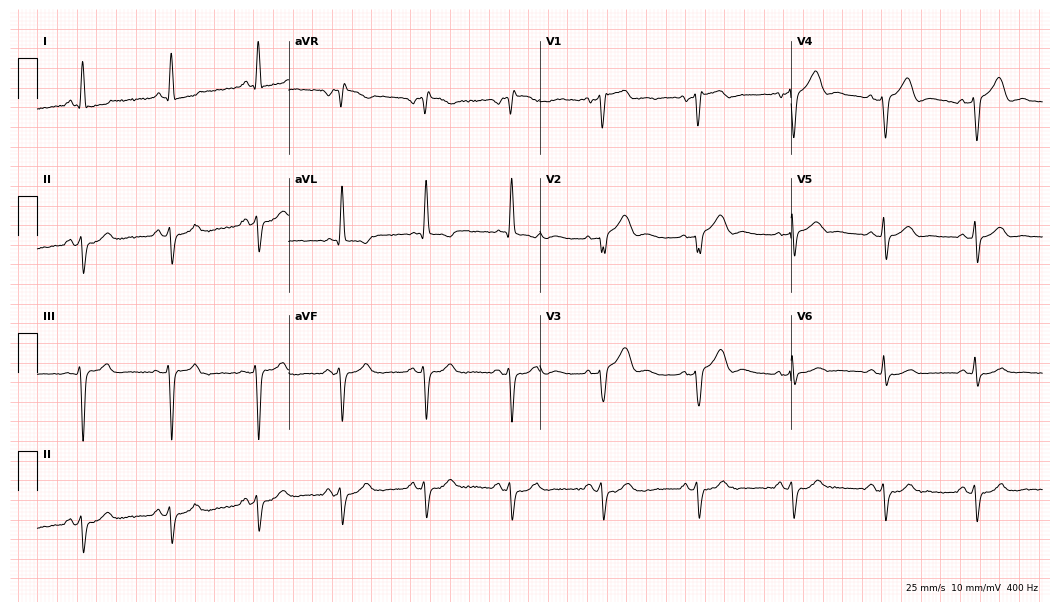
ECG (10.2-second recording at 400 Hz) — a man, 67 years old. Screened for six findings — first-degree AV block, right bundle branch block, left bundle branch block, sinus bradycardia, atrial fibrillation, sinus tachycardia — none is recorded.